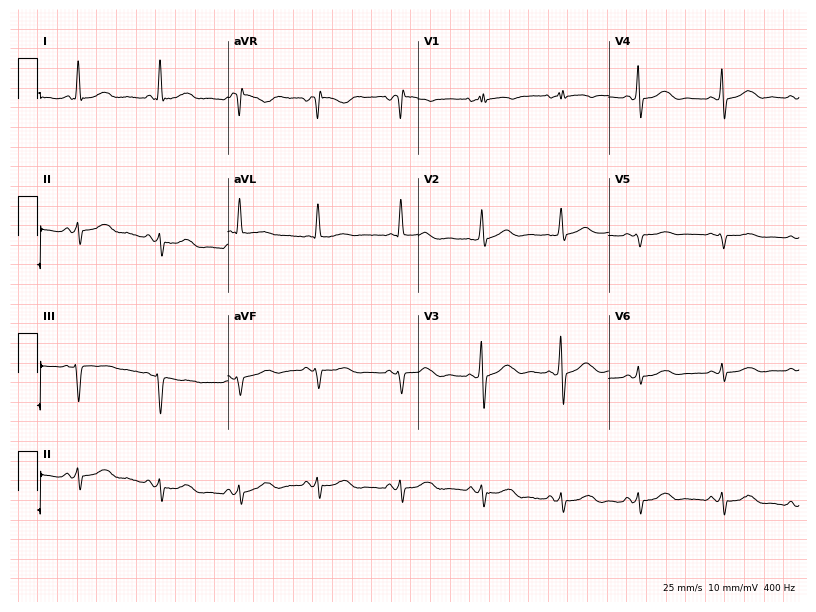
Electrocardiogram, a 69-year-old female patient. Overall reading on record: normal ECG.